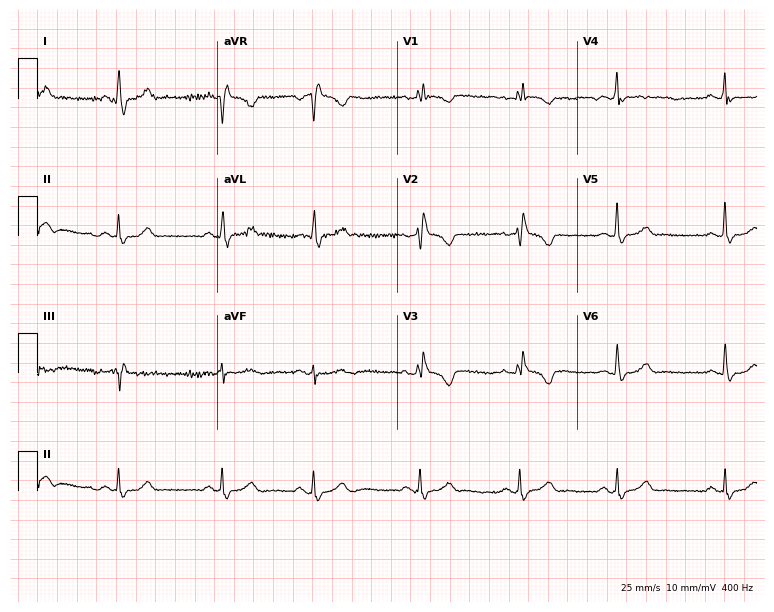
Standard 12-lead ECG recorded from a 45-year-old woman (7.3-second recording at 400 Hz). The tracing shows right bundle branch block (RBBB).